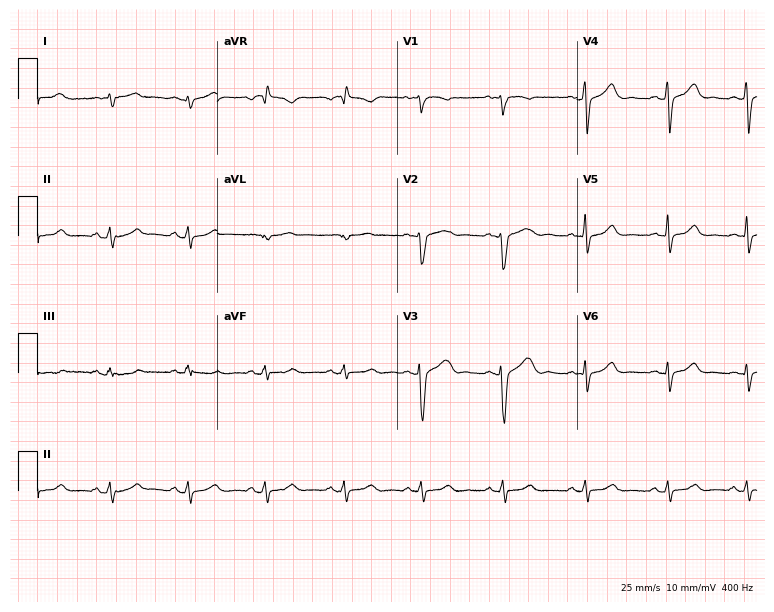
12-lead ECG (7.3-second recording at 400 Hz) from a woman, 22 years old. Screened for six findings — first-degree AV block, right bundle branch block, left bundle branch block, sinus bradycardia, atrial fibrillation, sinus tachycardia — none is recorded. Other findings, if any, are not listed.